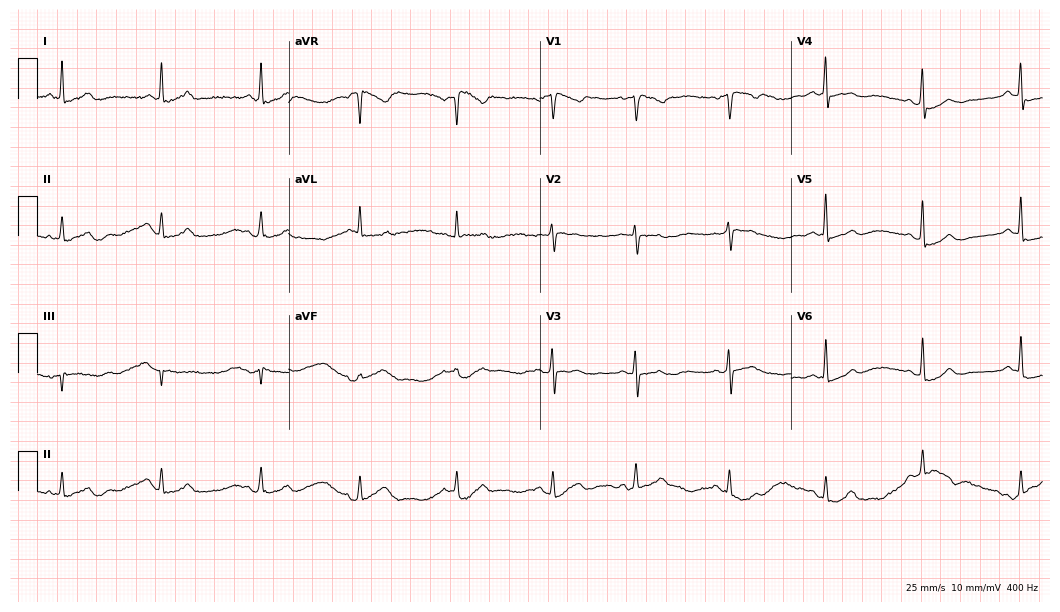
12-lead ECG from a 39-year-old woman. Screened for six findings — first-degree AV block, right bundle branch block, left bundle branch block, sinus bradycardia, atrial fibrillation, sinus tachycardia — none is recorded.